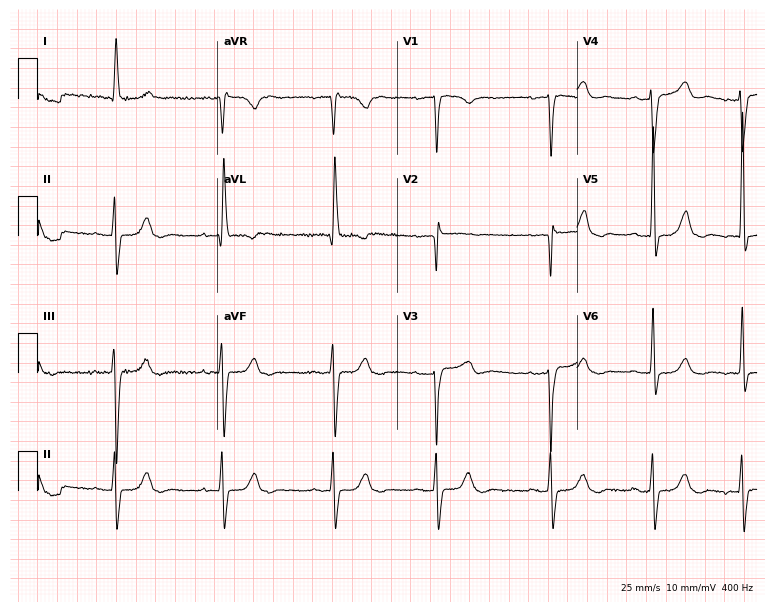
ECG (7.3-second recording at 400 Hz) — a 69-year-old woman. Labelled as a normal ECG.